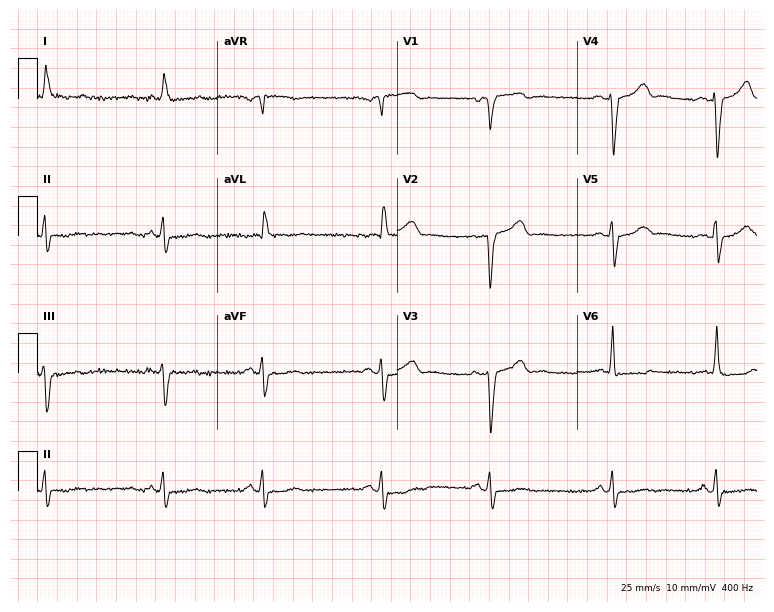
ECG (7.3-second recording at 400 Hz) — an 81-year-old man. Screened for six findings — first-degree AV block, right bundle branch block, left bundle branch block, sinus bradycardia, atrial fibrillation, sinus tachycardia — none is recorded. Findings outside these six are not listed.